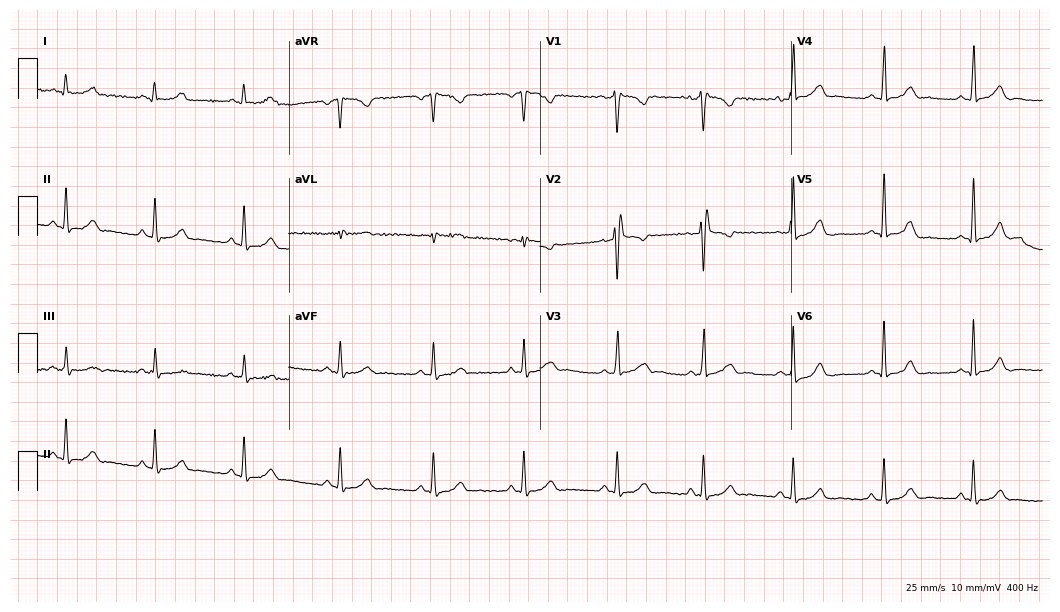
12-lead ECG from a 34-year-old woman (10.2-second recording at 400 Hz). No first-degree AV block, right bundle branch block, left bundle branch block, sinus bradycardia, atrial fibrillation or sinus tachycardia recorded for this tracing.